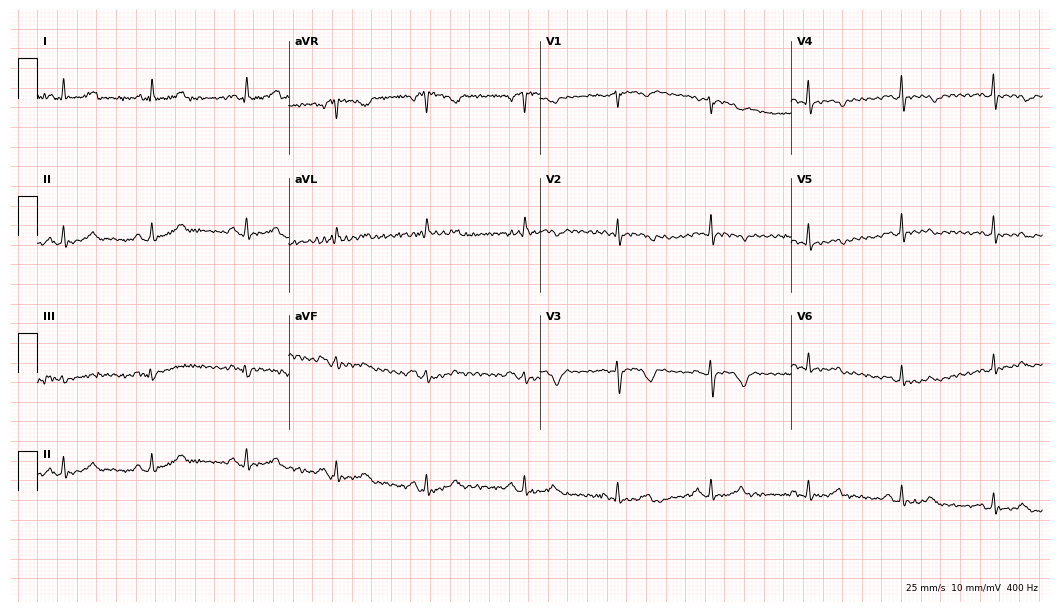
12-lead ECG (10.2-second recording at 400 Hz) from a 76-year-old female. Screened for six findings — first-degree AV block, right bundle branch block, left bundle branch block, sinus bradycardia, atrial fibrillation, sinus tachycardia — none is recorded. Findings outside these six are not listed.